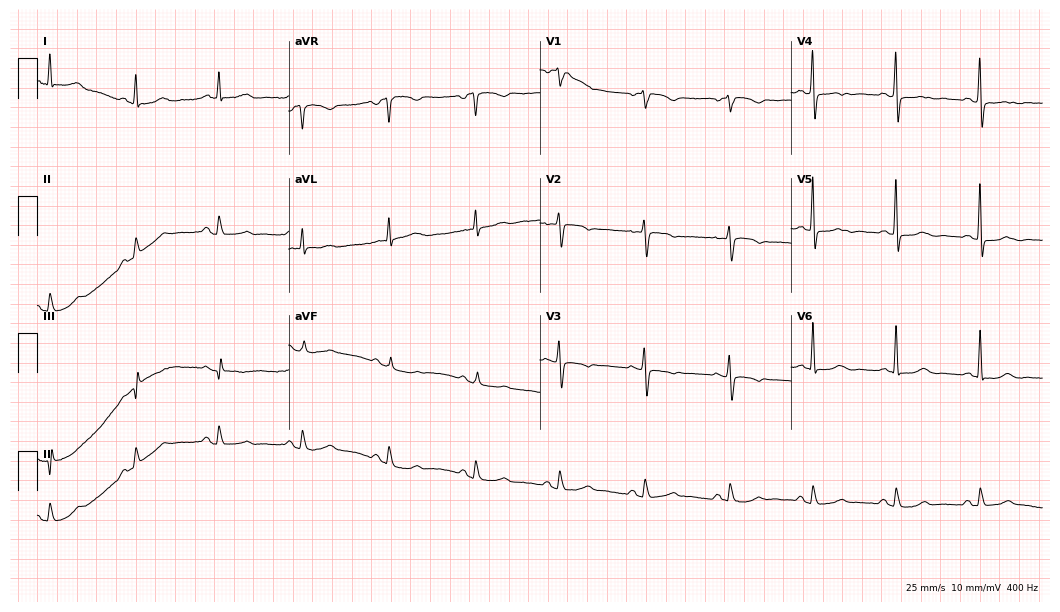
12-lead ECG (10.2-second recording at 400 Hz) from a female, 60 years old. Labelled as a normal ECG.